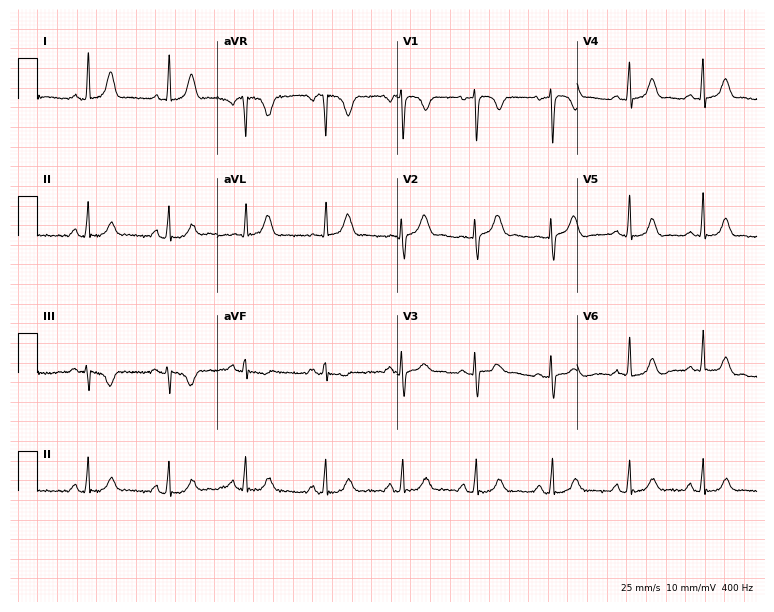
Resting 12-lead electrocardiogram. Patient: a woman, 43 years old. Read as a normal ECG.